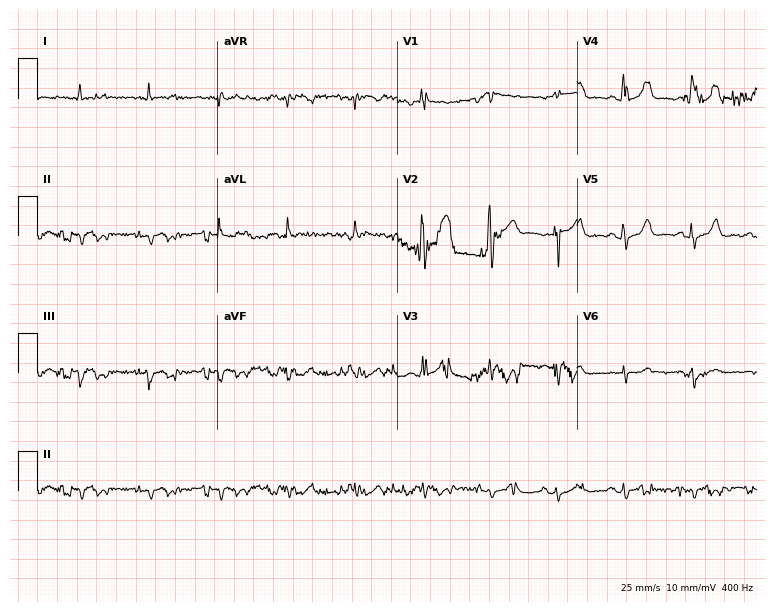
12-lead ECG from a 46-year-old female patient. Recorded interpretation: within normal limits.